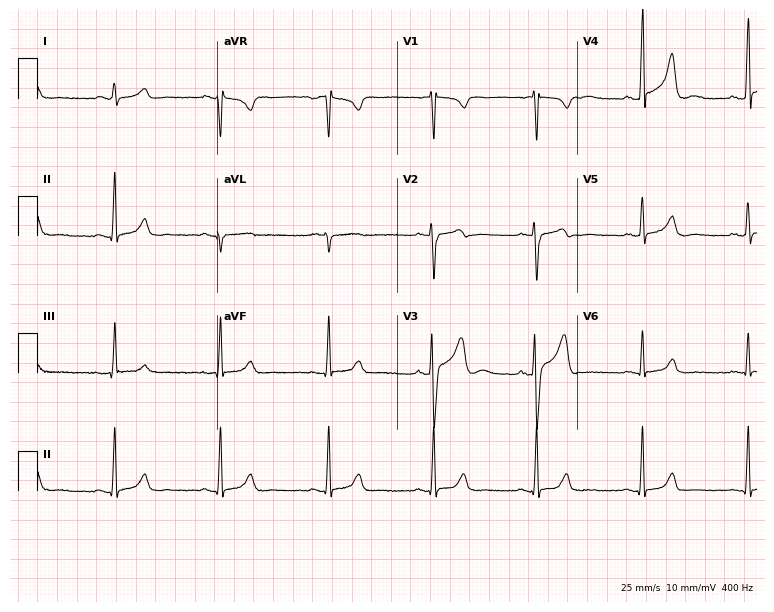
12-lead ECG from a 35-year-old male patient. Screened for six findings — first-degree AV block, right bundle branch block (RBBB), left bundle branch block (LBBB), sinus bradycardia, atrial fibrillation (AF), sinus tachycardia — none is recorded.